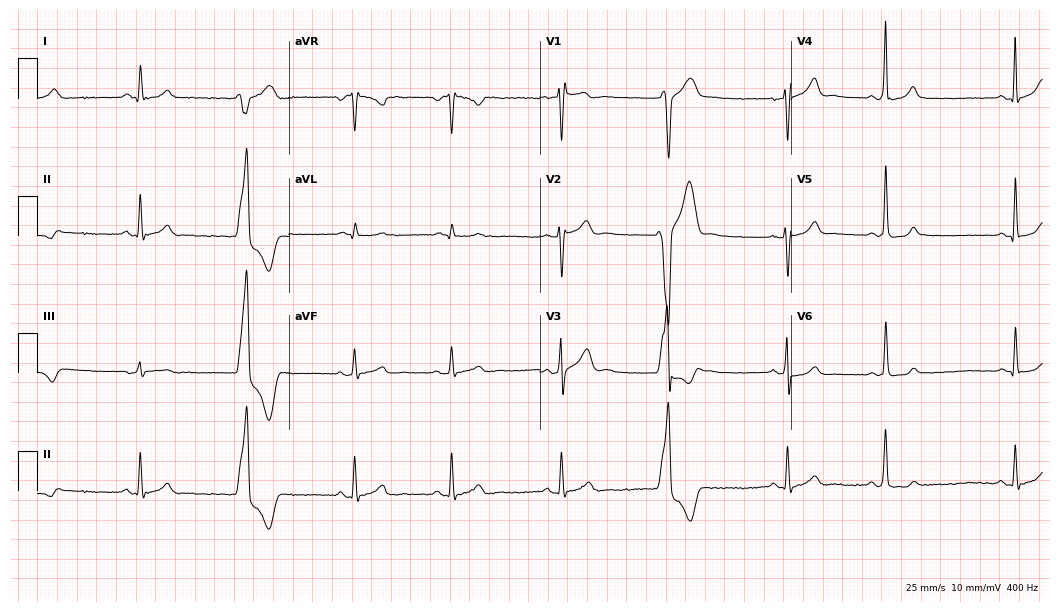
12-lead ECG from a 27-year-old man (10.2-second recording at 400 Hz). No first-degree AV block, right bundle branch block, left bundle branch block, sinus bradycardia, atrial fibrillation or sinus tachycardia recorded for this tracing.